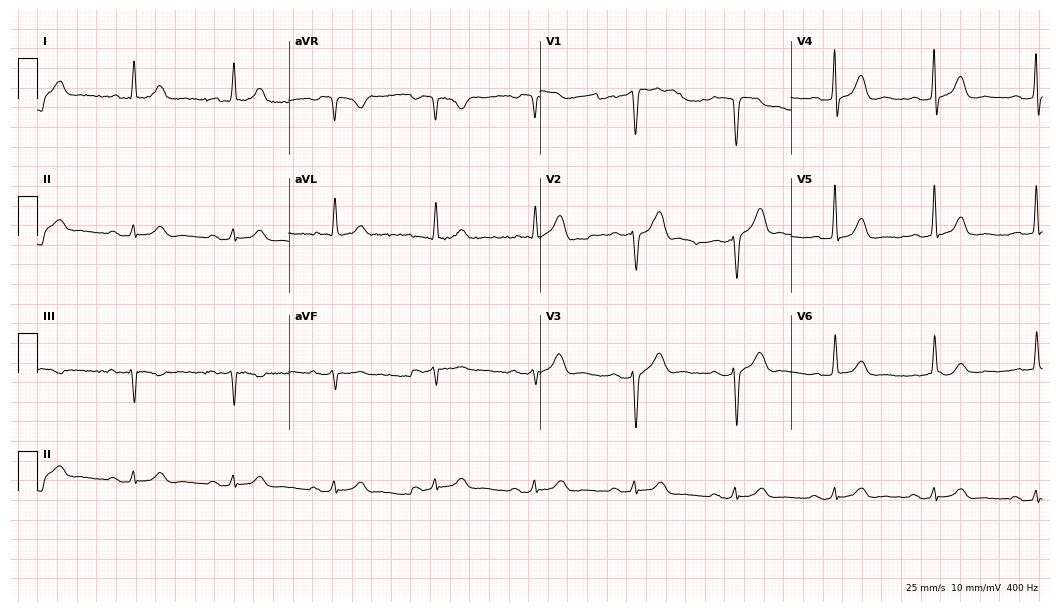
Standard 12-lead ECG recorded from a man, 78 years old. None of these six findings is recorded: first-degree AV block, right bundle branch block, left bundle branch block, sinus bradycardia, atrial fibrillation, sinus tachycardia. Findings outside these six are not listed.